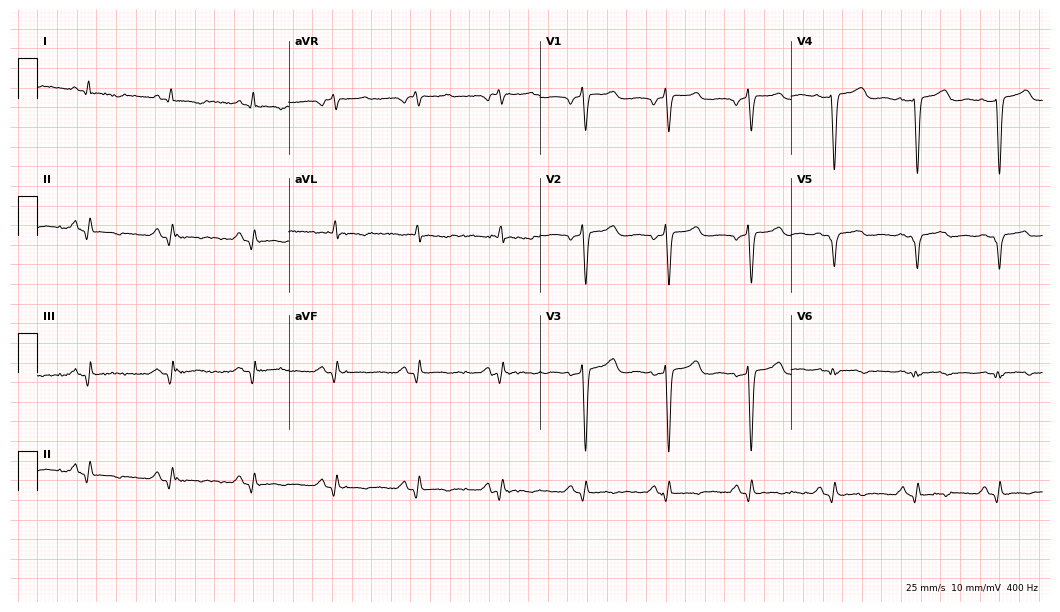
Resting 12-lead electrocardiogram. Patient: a 67-year-old male. None of these six findings is recorded: first-degree AV block, right bundle branch block, left bundle branch block, sinus bradycardia, atrial fibrillation, sinus tachycardia.